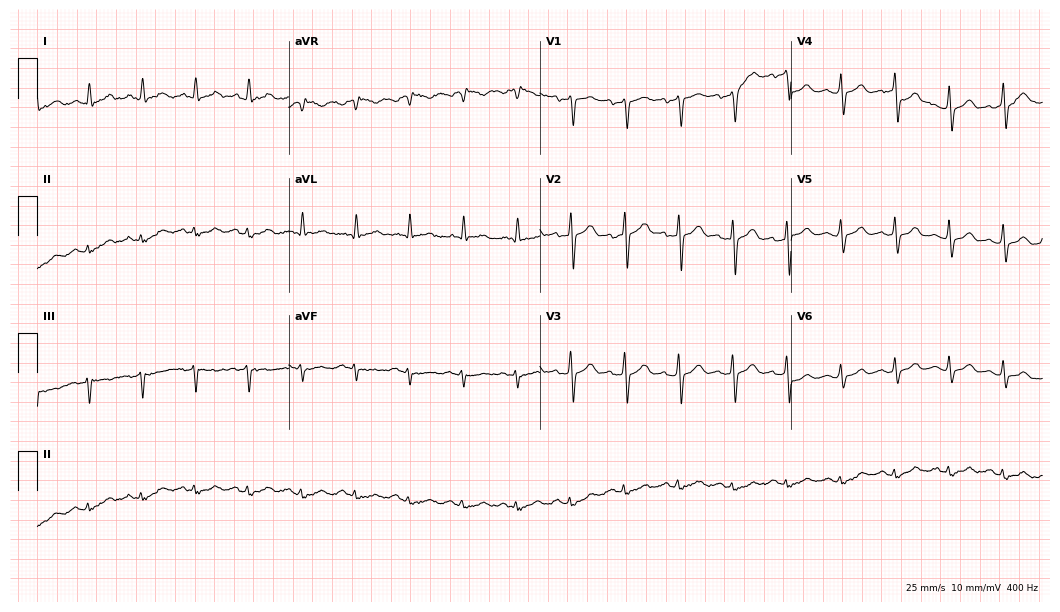
Electrocardiogram, a 57-year-old man. Interpretation includes sinus tachycardia (a sinus rate of 100 beats per minute or more).